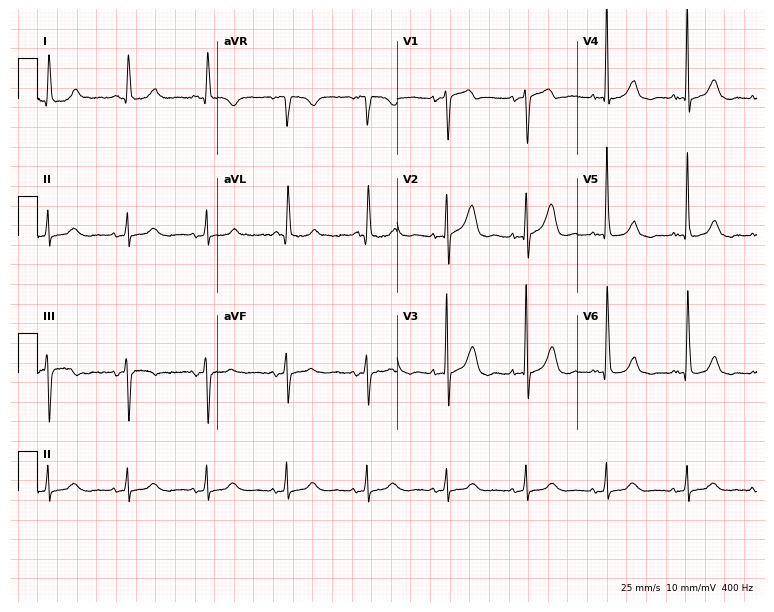
Standard 12-lead ECG recorded from a female patient, 83 years old (7.3-second recording at 400 Hz). Read as a normal ECG.